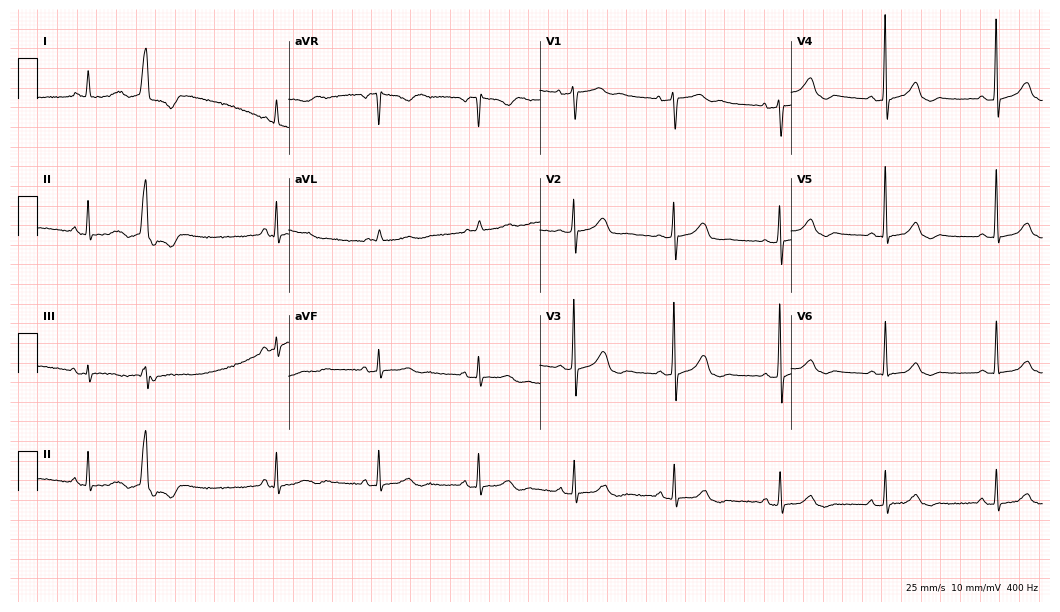
Resting 12-lead electrocardiogram. Patient: a 68-year-old female. Read as a normal ECG.